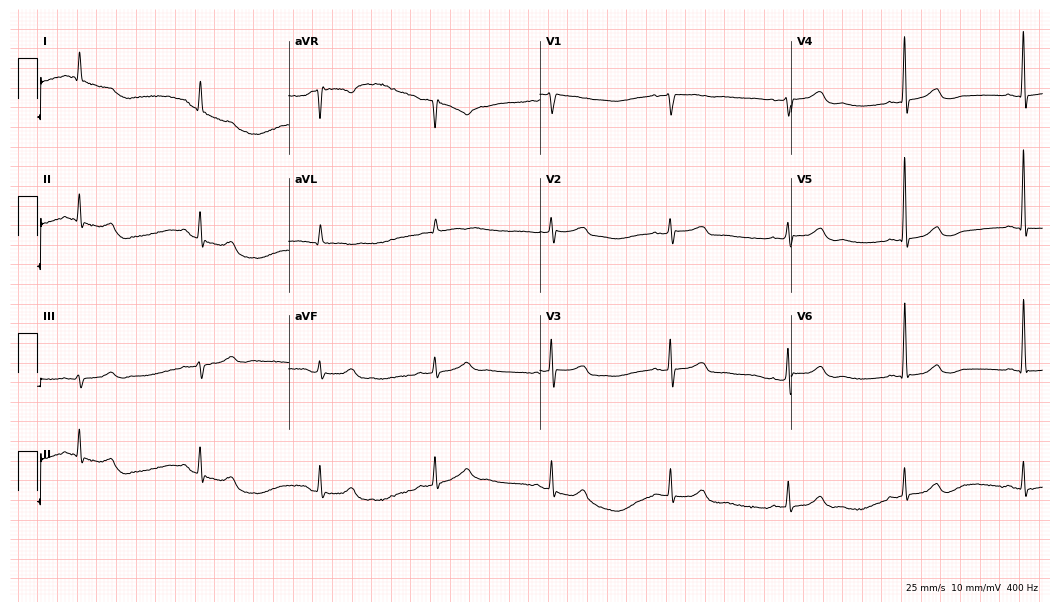
Resting 12-lead electrocardiogram (10.2-second recording at 400 Hz). Patient: a woman, 78 years old. Read as a normal ECG.